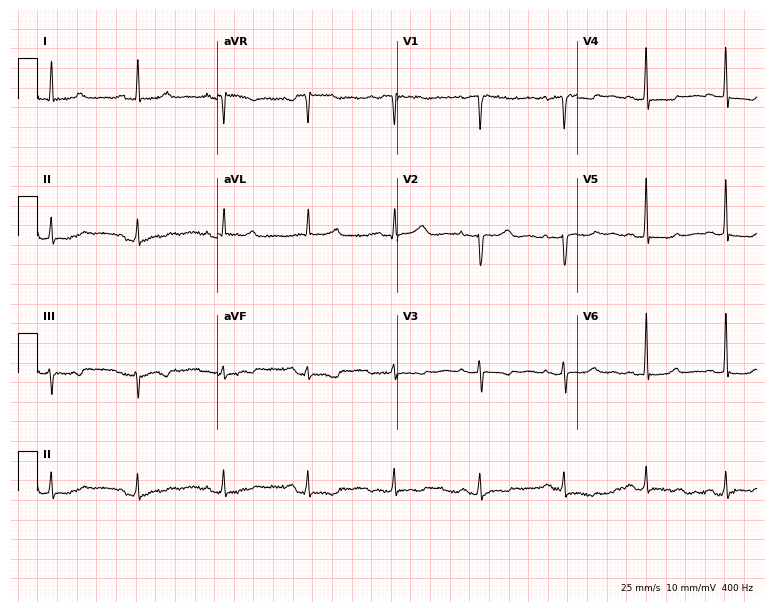
Standard 12-lead ECG recorded from a 57-year-old woman. None of these six findings is recorded: first-degree AV block, right bundle branch block, left bundle branch block, sinus bradycardia, atrial fibrillation, sinus tachycardia.